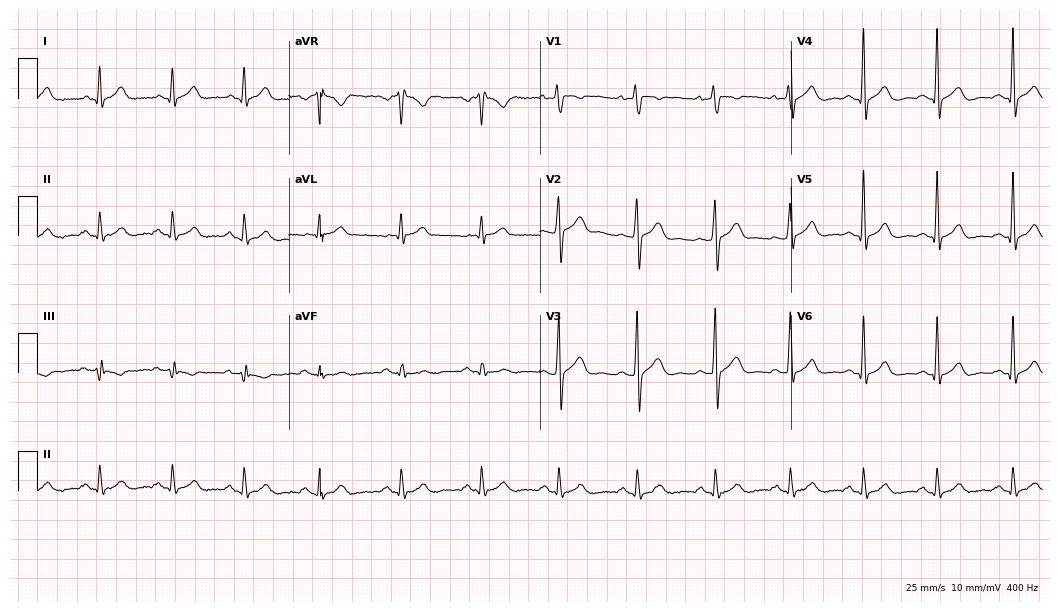
Resting 12-lead electrocardiogram. Patient: a 34-year-old man. None of these six findings is recorded: first-degree AV block, right bundle branch block (RBBB), left bundle branch block (LBBB), sinus bradycardia, atrial fibrillation (AF), sinus tachycardia.